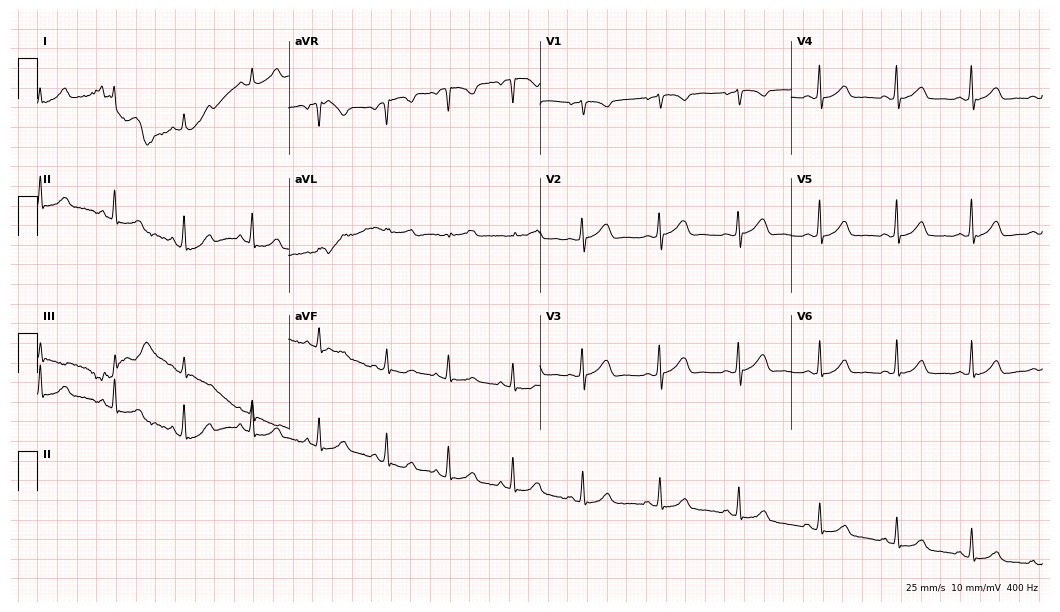
ECG (10.2-second recording at 400 Hz) — a female patient, 46 years old. Labelled as a normal ECG.